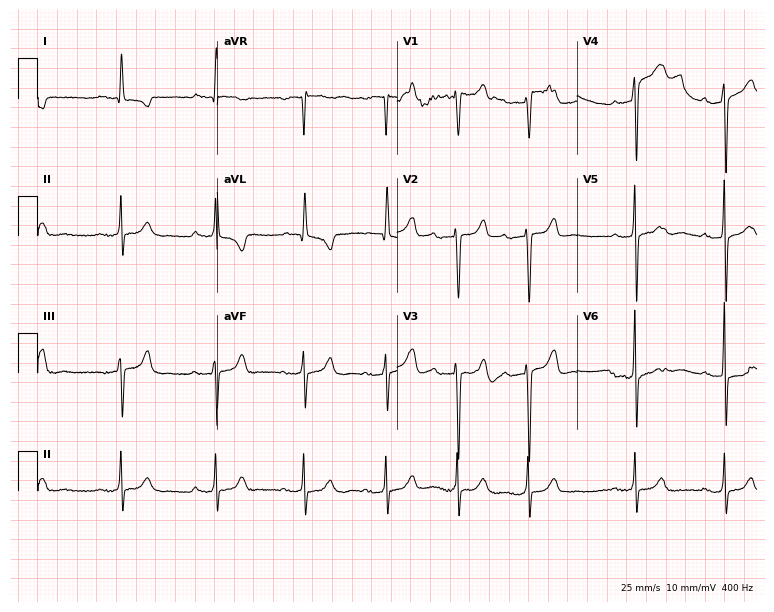
Resting 12-lead electrocardiogram. Patient: a female, 76 years old. None of these six findings is recorded: first-degree AV block, right bundle branch block, left bundle branch block, sinus bradycardia, atrial fibrillation, sinus tachycardia. Findings outside these six are not listed.